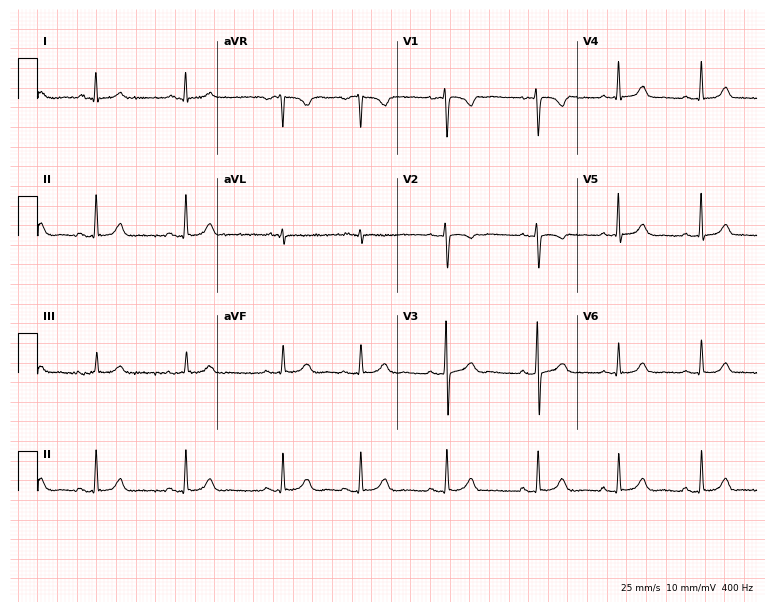
Resting 12-lead electrocardiogram (7.3-second recording at 400 Hz). Patient: a female, 18 years old. Read as a normal ECG.